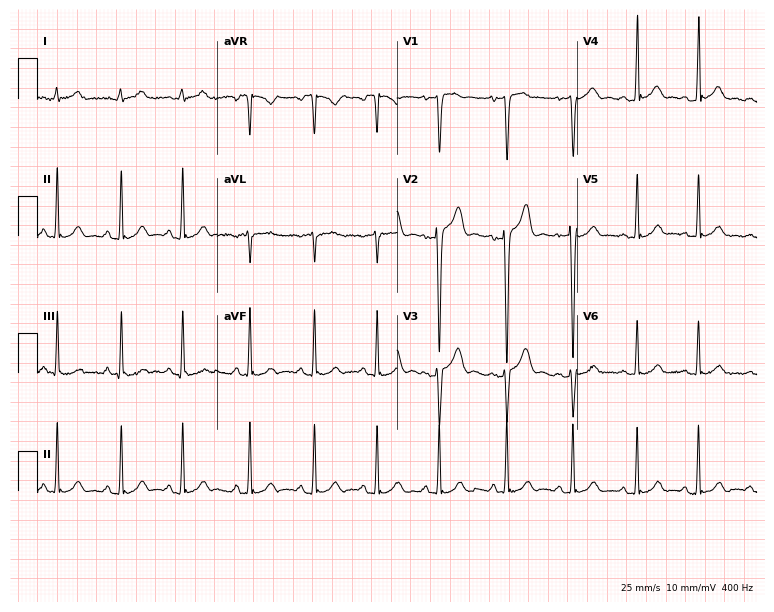
Electrocardiogram (7.3-second recording at 400 Hz), an 18-year-old male. Overall reading on record: normal ECG.